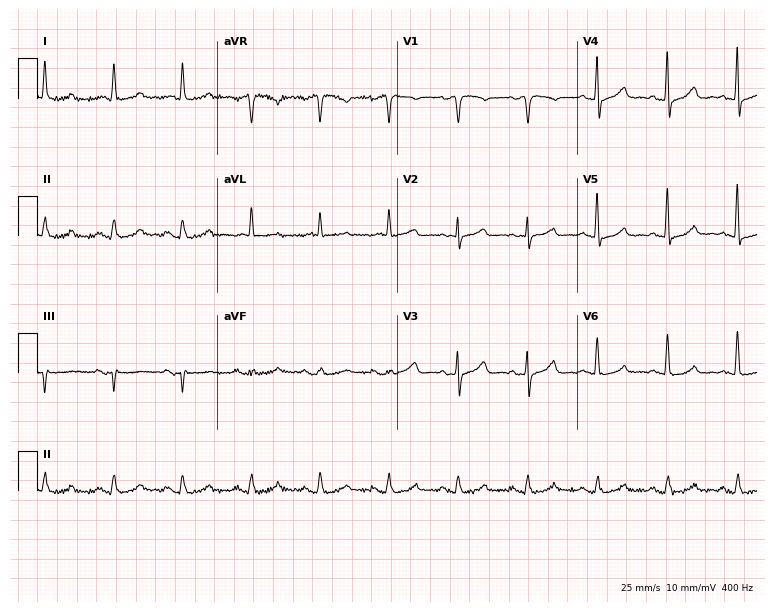
12-lead ECG (7.3-second recording at 400 Hz) from a female patient, 61 years old. Labelled as a normal ECG.